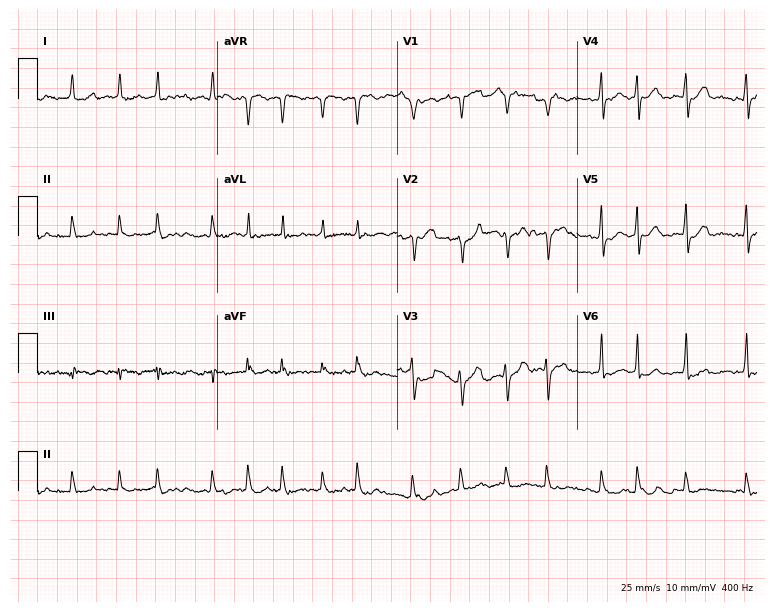
Electrocardiogram (7.3-second recording at 400 Hz), a man, 65 years old. Interpretation includes atrial fibrillation.